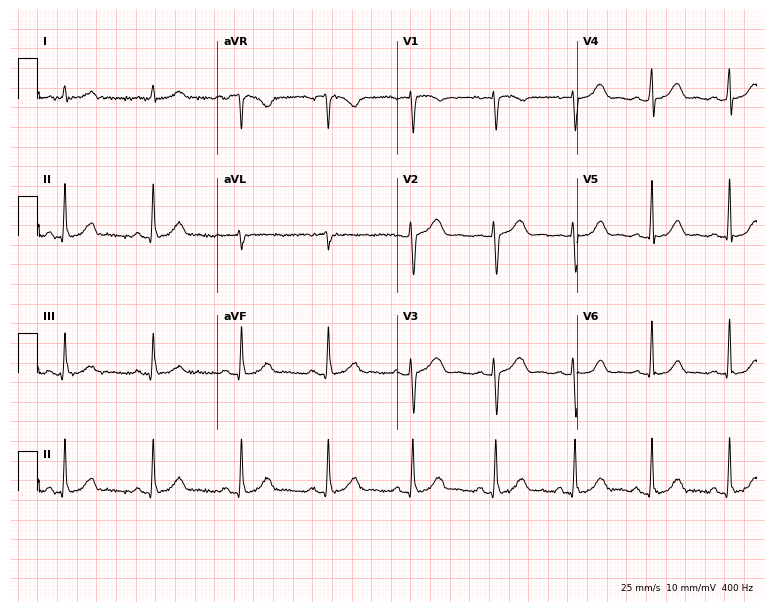
Resting 12-lead electrocardiogram. Patient: a woman, 44 years old. Read as a normal ECG.